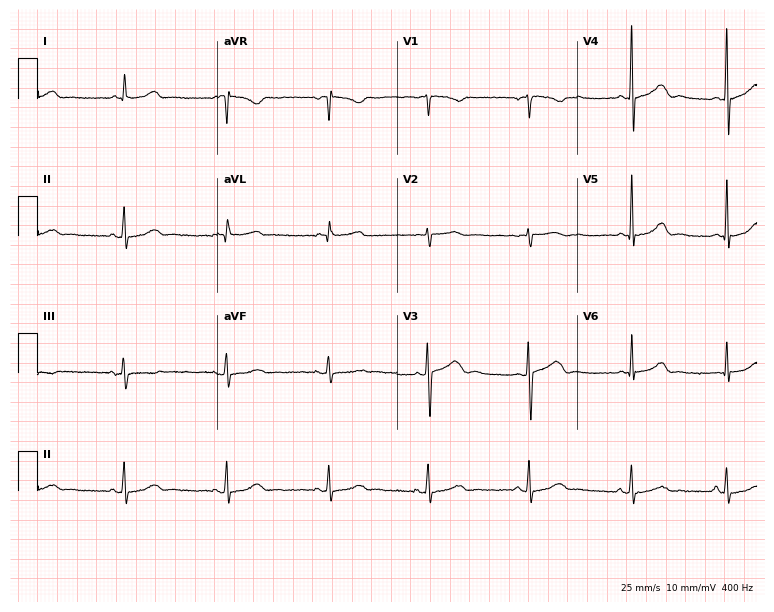
Electrocardiogram, a 47-year-old woman. Of the six screened findings (first-degree AV block, right bundle branch block, left bundle branch block, sinus bradycardia, atrial fibrillation, sinus tachycardia), none is recorded.